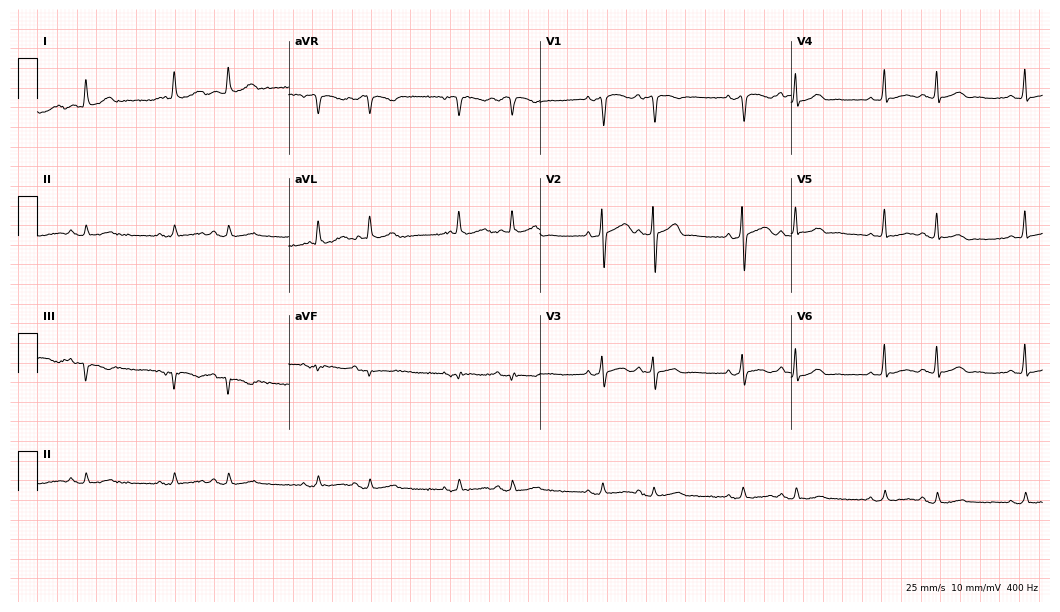
ECG (10.2-second recording at 400 Hz) — a man, 70 years old. Screened for six findings — first-degree AV block, right bundle branch block, left bundle branch block, sinus bradycardia, atrial fibrillation, sinus tachycardia — none is recorded.